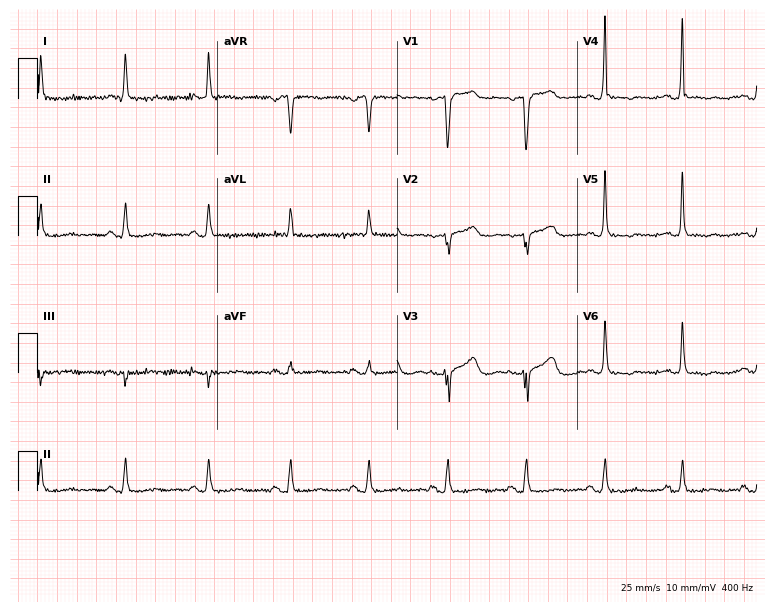
12-lead ECG from a female, 66 years old (7.3-second recording at 400 Hz). No first-degree AV block, right bundle branch block, left bundle branch block, sinus bradycardia, atrial fibrillation or sinus tachycardia recorded for this tracing.